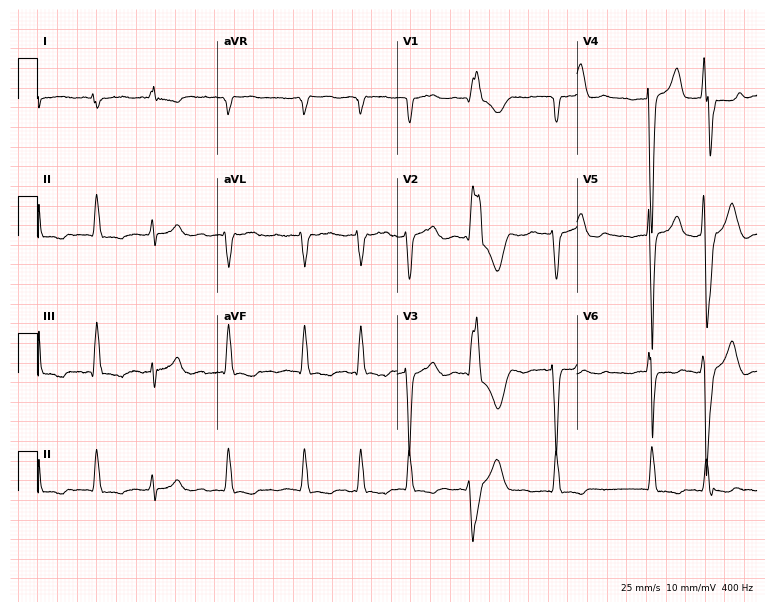
12-lead ECG (7.3-second recording at 400 Hz) from a man, 66 years old. Screened for six findings — first-degree AV block, right bundle branch block, left bundle branch block, sinus bradycardia, atrial fibrillation, sinus tachycardia — none is recorded.